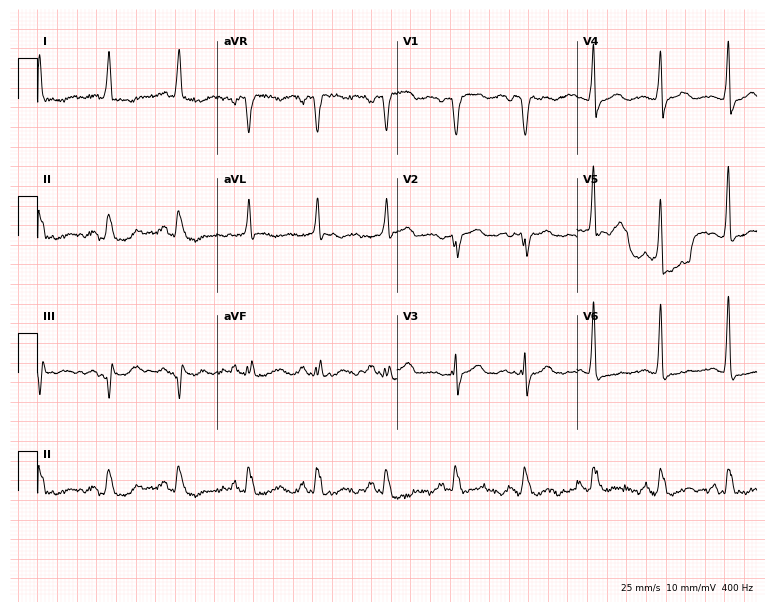
12-lead ECG from a 66-year-old woman. No first-degree AV block, right bundle branch block (RBBB), left bundle branch block (LBBB), sinus bradycardia, atrial fibrillation (AF) or sinus tachycardia recorded for this tracing.